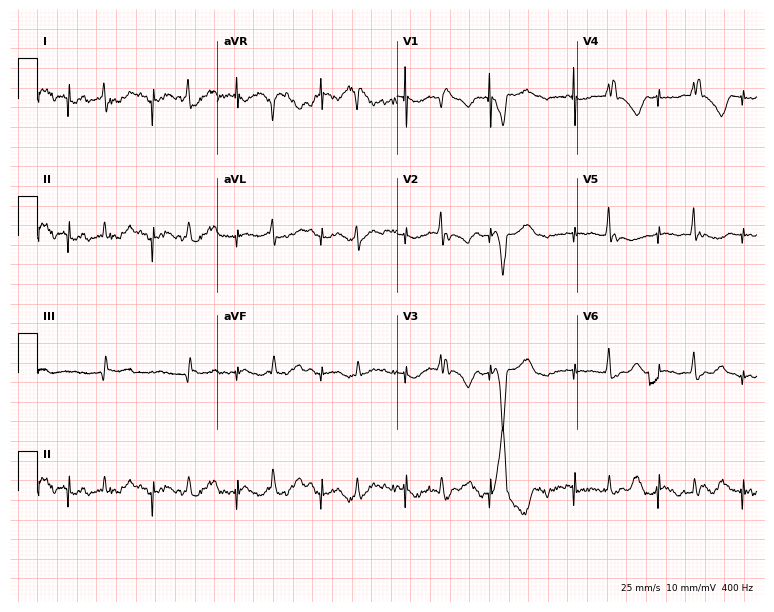
Standard 12-lead ECG recorded from a male, 61 years old (7.3-second recording at 400 Hz). None of these six findings is recorded: first-degree AV block, right bundle branch block, left bundle branch block, sinus bradycardia, atrial fibrillation, sinus tachycardia.